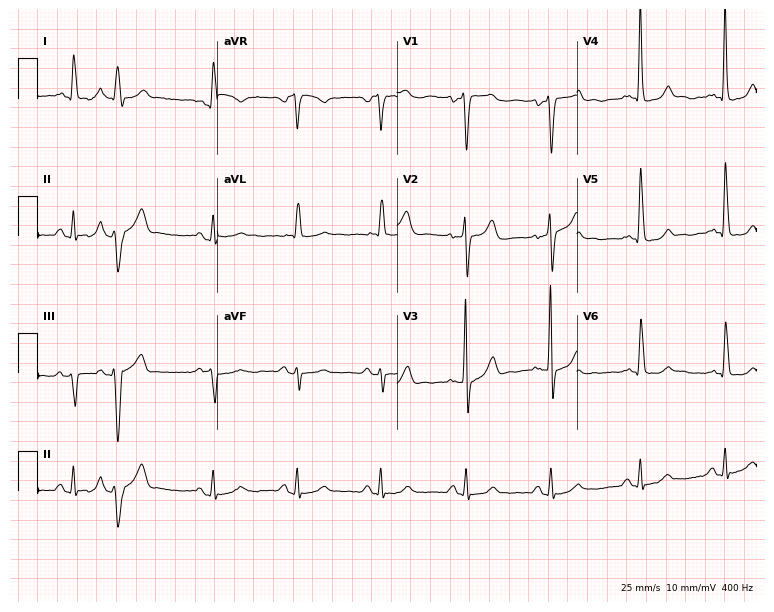
Electrocardiogram, a male, 72 years old. Of the six screened findings (first-degree AV block, right bundle branch block (RBBB), left bundle branch block (LBBB), sinus bradycardia, atrial fibrillation (AF), sinus tachycardia), none is recorded.